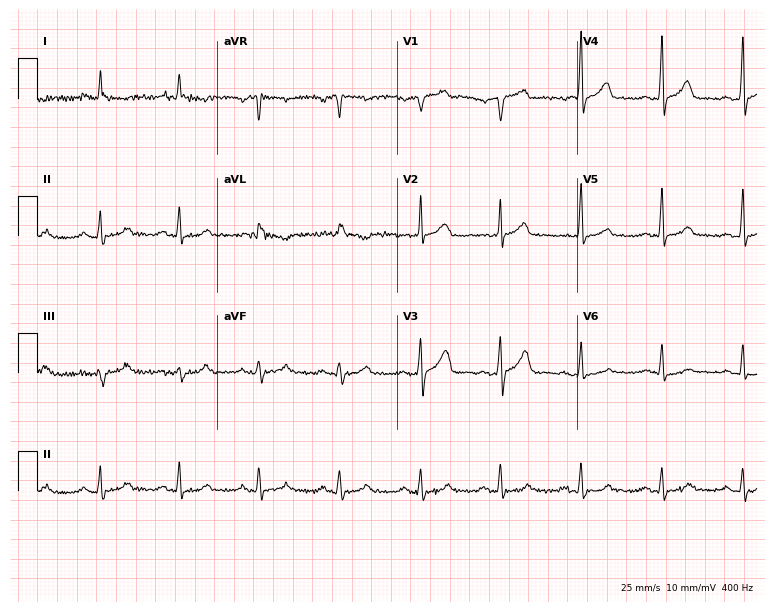
ECG — a man, 71 years old. Screened for six findings — first-degree AV block, right bundle branch block, left bundle branch block, sinus bradycardia, atrial fibrillation, sinus tachycardia — none is recorded.